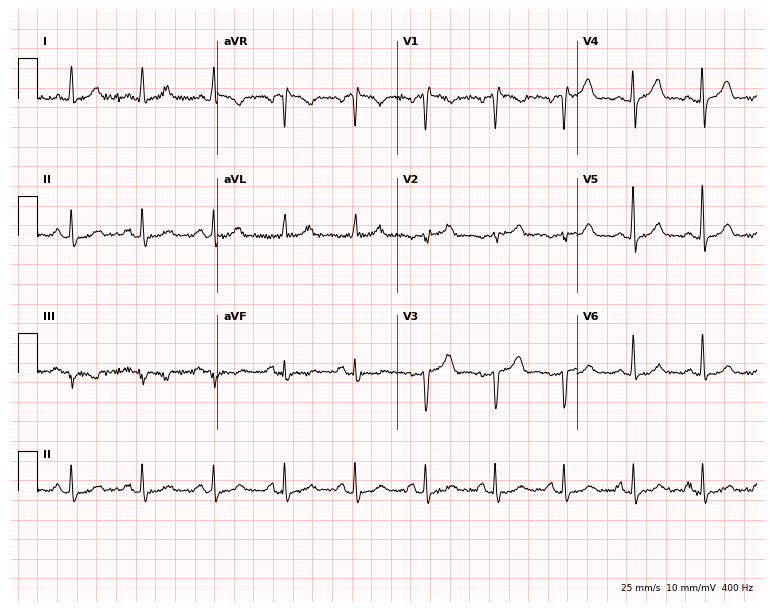
12-lead ECG from a woman, 50 years old (7.3-second recording at 400 Hz). Recorded interpretation: within normal limits.